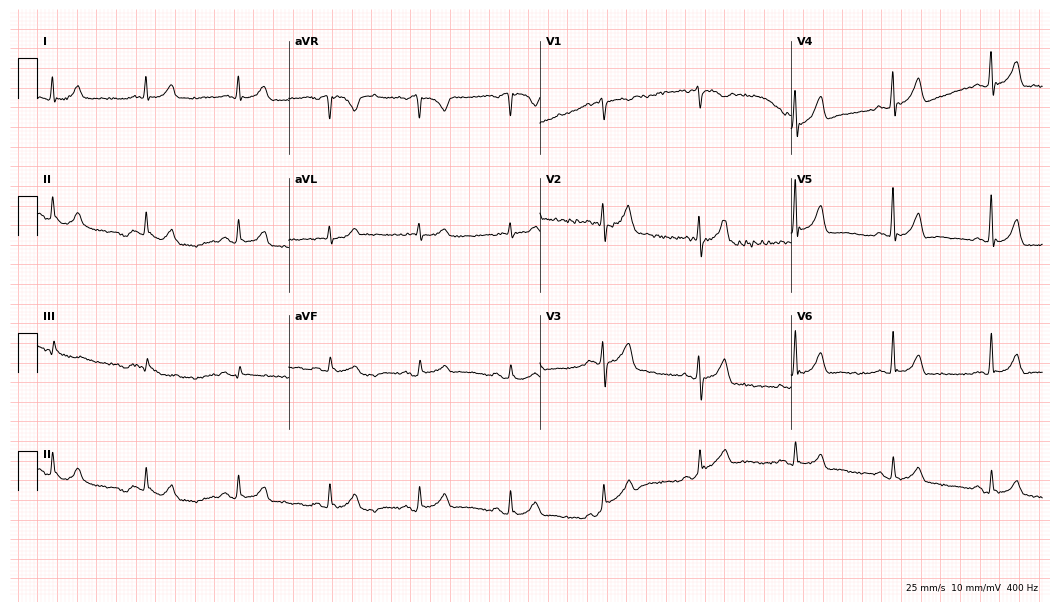
Electrocardiogram, a male, 60 years old. Of the six screened findings (first-degree AV block, right bundle branch block, left bundle branch block, sinus bradycardia, atrial fibrillation, sinus tachycardia), none is recorded.